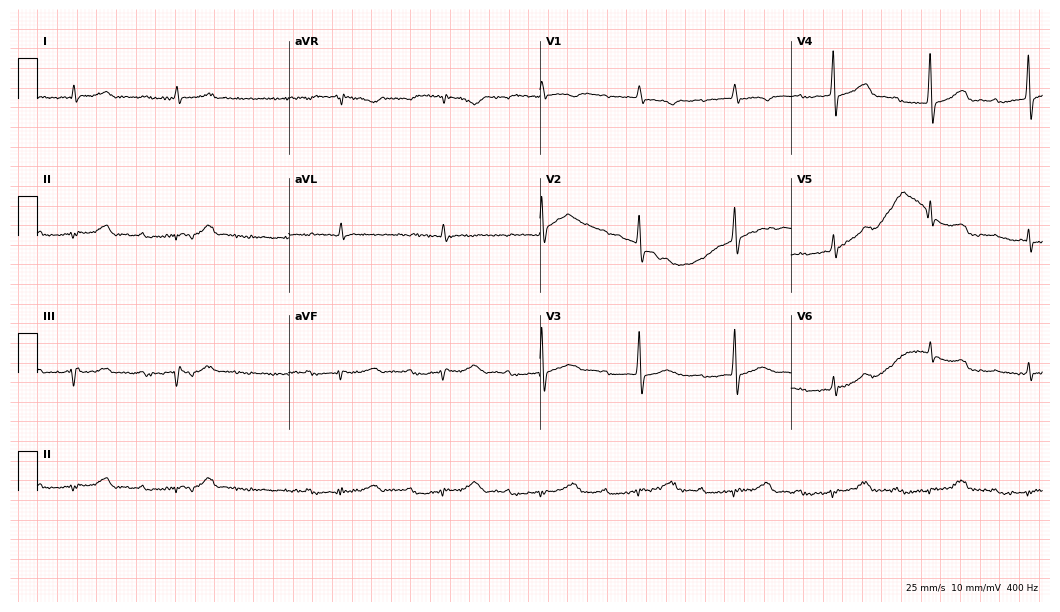
Standard 12-lead ECG recorded from a male, 82 years old (10.2-second recording at 400 Hz). None of these six findings is recorded: first-degree AV block, right bundle branch block, left bundle branch block, sinus bradycardia, atrial fibrillation, sinus tachycardia.